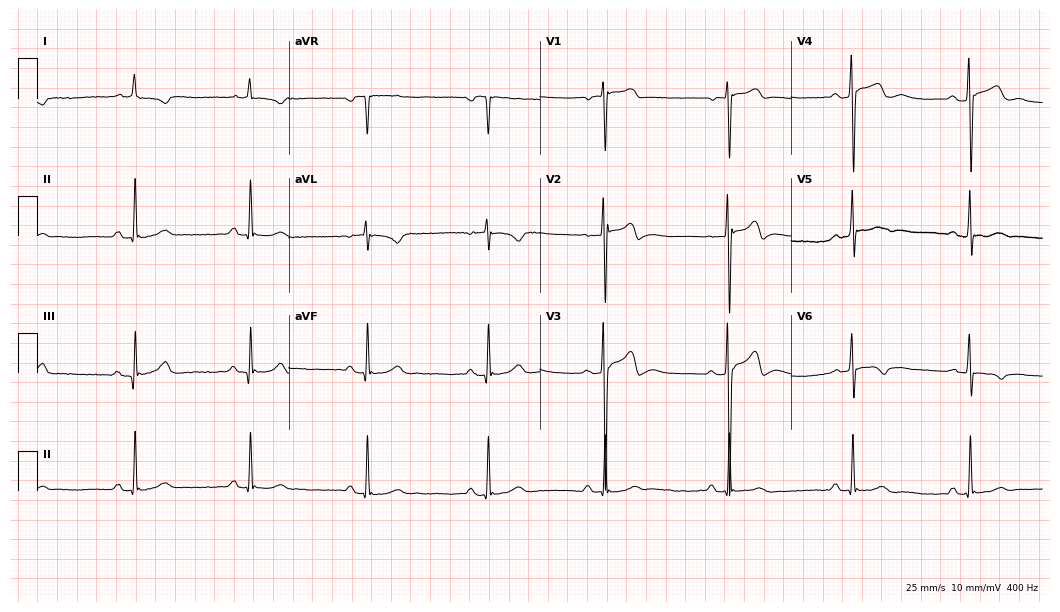
12-lead ECG from a man, 33 years old (10.2-second recording at 400 Hz). No first-degree AV block, right bundle branch block (RBBB), left bundle branch block (LBBB), sinus bradycardia, atrial fibrillation (AF) or sinus tachycardia recorded for this tracing.